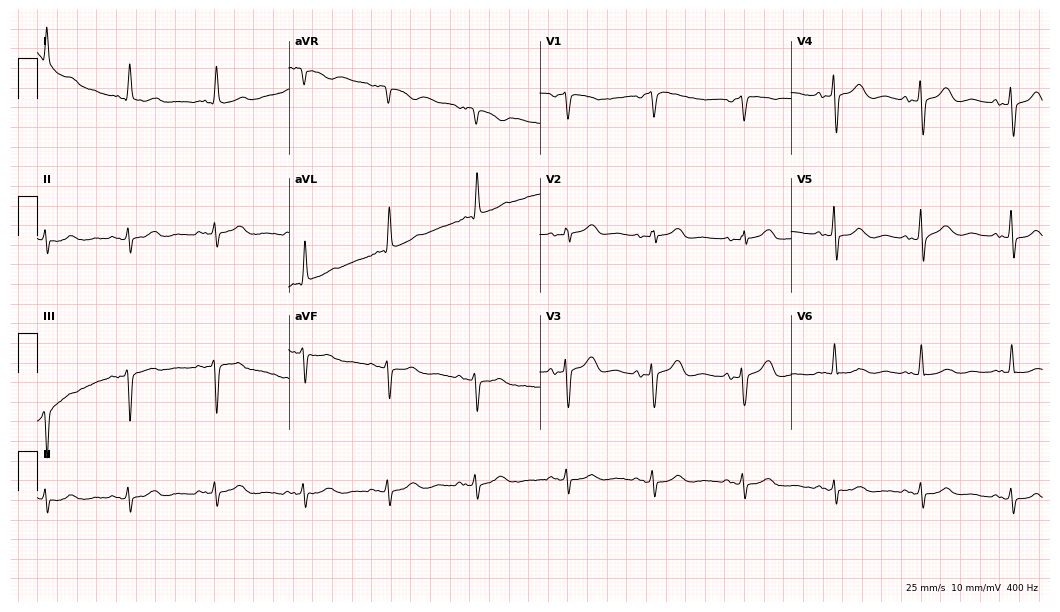
Standard 12-lead ECG recorded from a man, 80 years old (10.2-second recording at 400 Hz). None of these six findings is recorded: first-degree AV block, right bundle branch block, left bundle branch block, sinus bradycardia, atrial fibrillation, sinus tachycardia. Only these six findings were labelled.